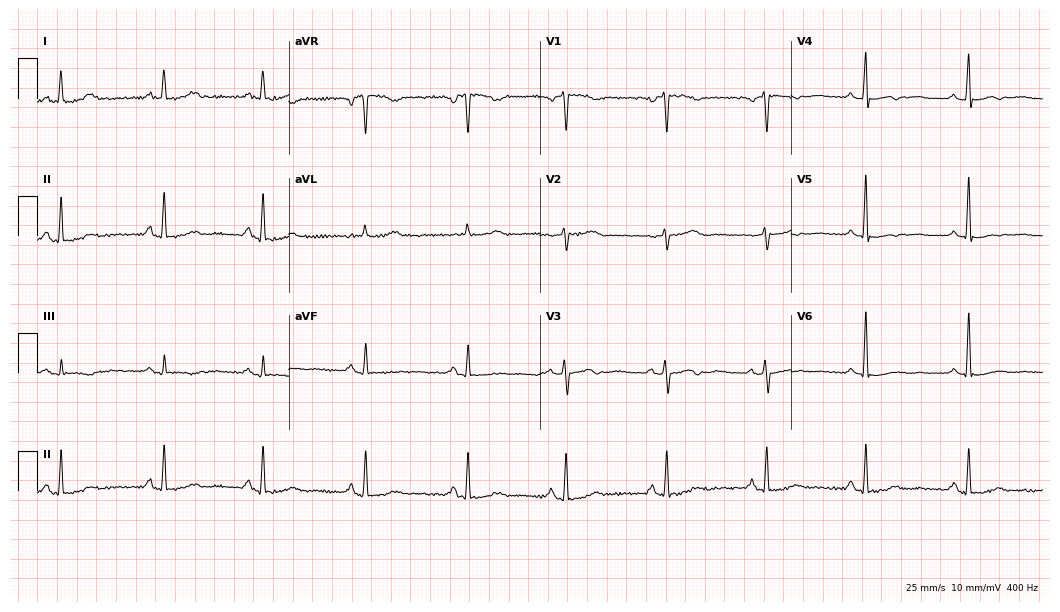
Standard 12-lead ECG recorded from a female, 53 years old. None of these six findings is recorded: first-degree AV block, right bundle branch block, left bundle branch block, sinus bradycardia, atrial fibrillation, sinus tachycardia. Other findings, if any, are not listed.